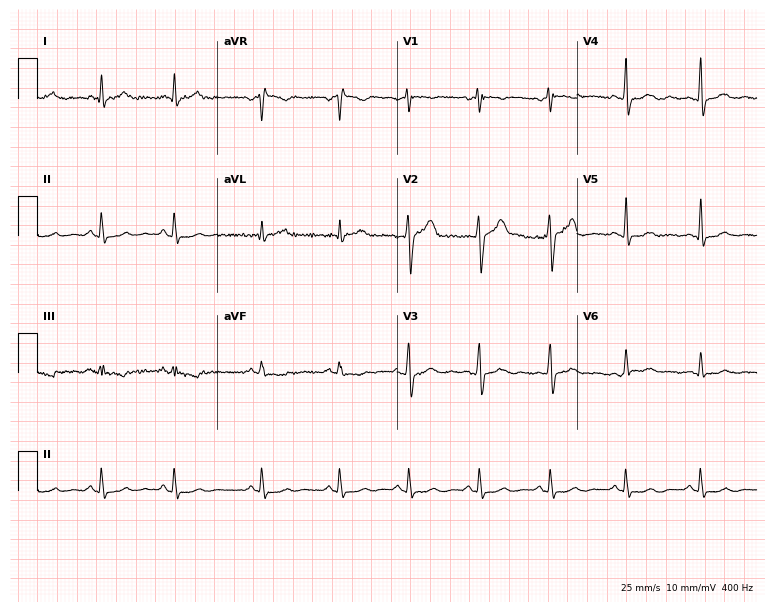
Resting 12-lead electrocardiogram (7.3-second recording at 400 Hz). Patient: a 25-year-old man. Read as a normal ECG.